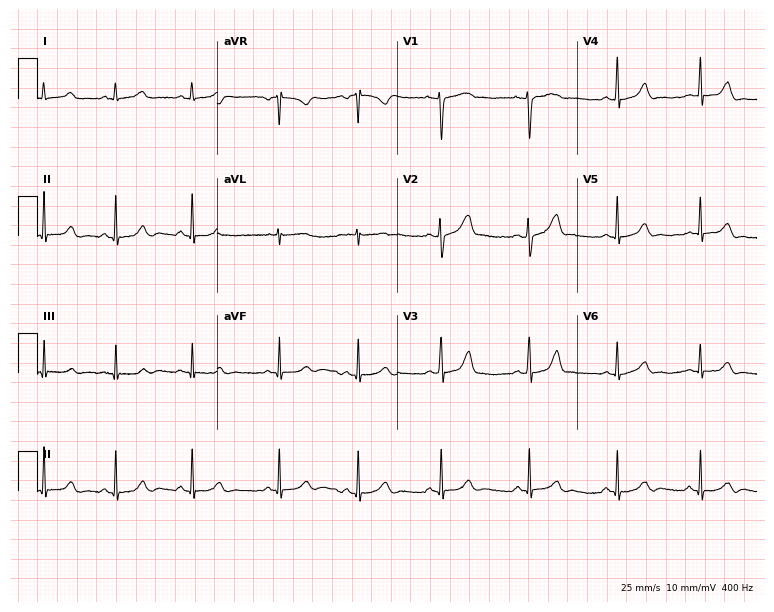
Standard 12-lead ECG recorded from a 24-year-old woman. Read as a normal ECG.